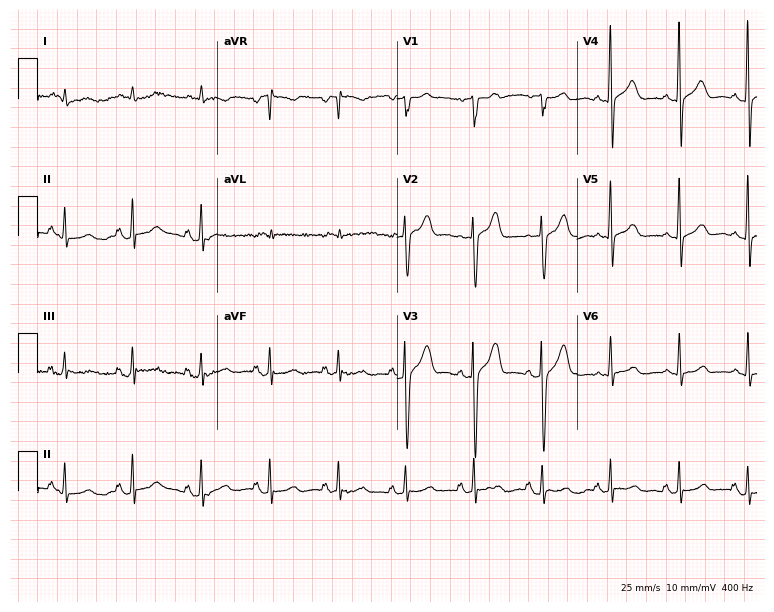
ECG (7.3-second recording at 400 Hz) — a 51-year-old male. Labelled as a normal ECG.